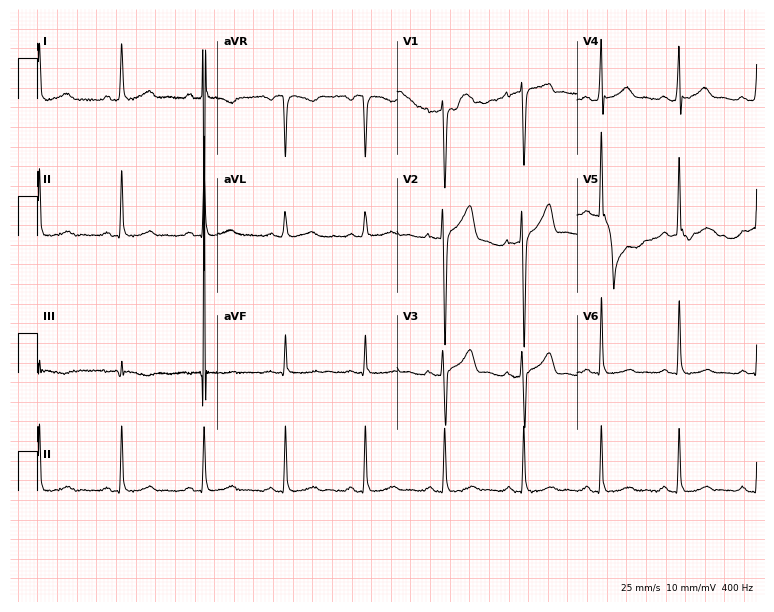
Standard 12-lead ECG recorded from a man, 36 years old. None of these six findings is recorded: first-degree AV block, right bundle branch block, left bundle branch block, sinus bradycardia, atrial fibrillation, sinus tachycardia. Only these six findings were labelled.